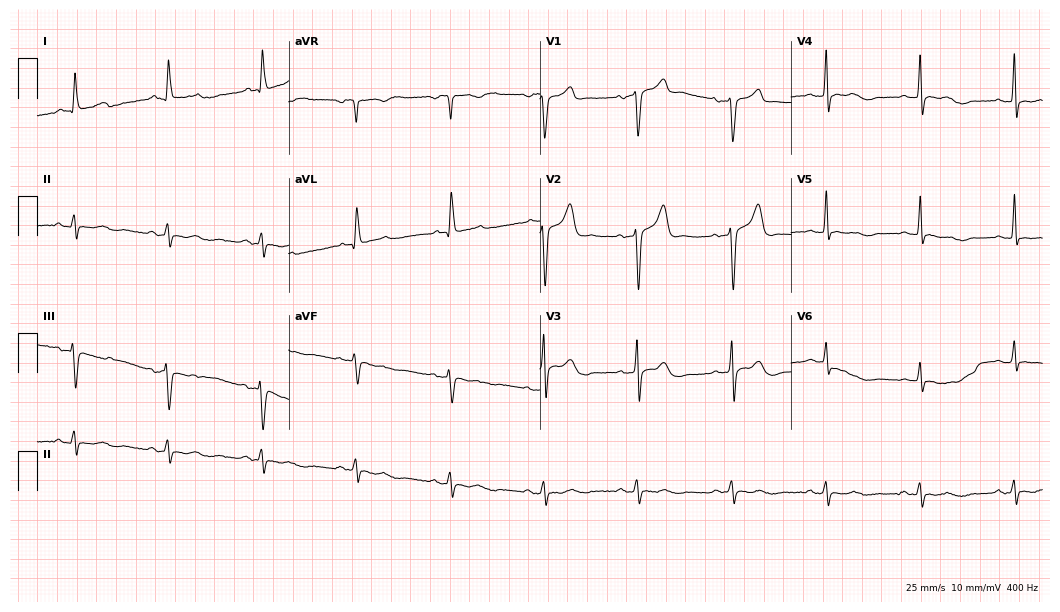
Standard 12-lead ECG recorded from a 73-year-old male (10.2-second recording at 400 Hz). None of these six findings is recorded: first-degree AV block, right bundle branch block (RBBB), left bundle branch block (LBBB), sinus bradycardia, atrial fibrillation (AF), sinus tachycardia. Other findings, if any, are not listed.